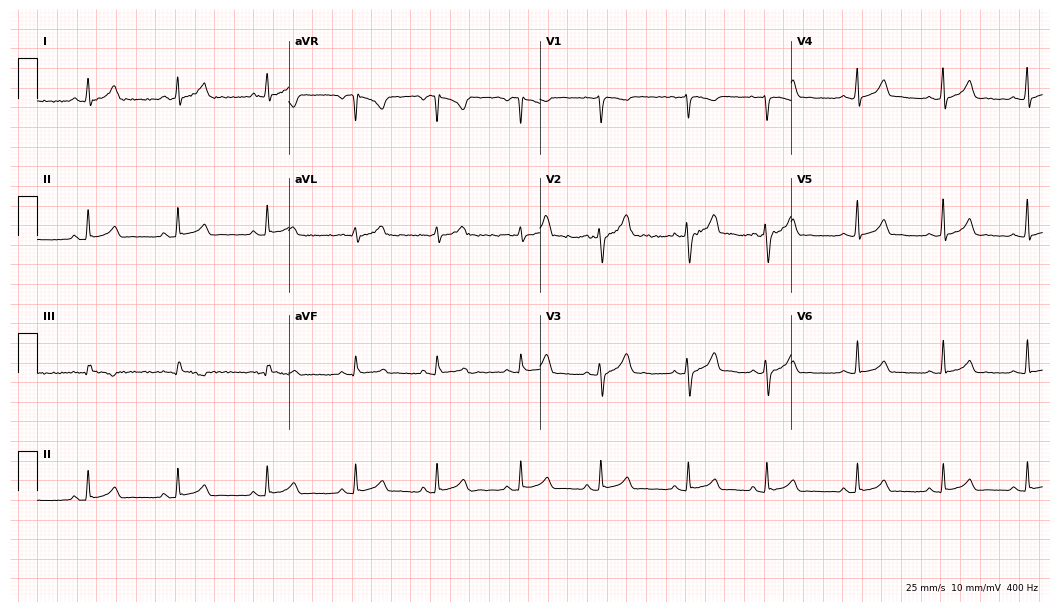
ECG (10.2-second recording at 400 Hz) — a 33-year-old man. Labelled as a normal ECG.